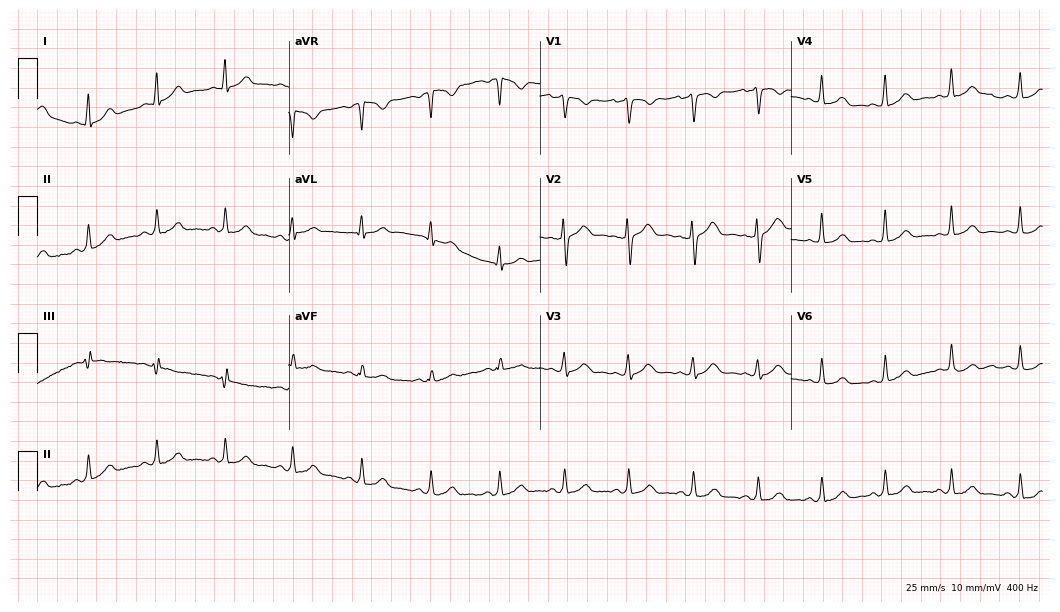
ECG (10.2-second recording at 400 Hz) — a 37-year-old female patient. Screened for six findings — first-degree AV block, right bundle branch block, left bundle branch block, sinus bradycardia, atrial fibrillation, sinus tachycardia — none is recorded.